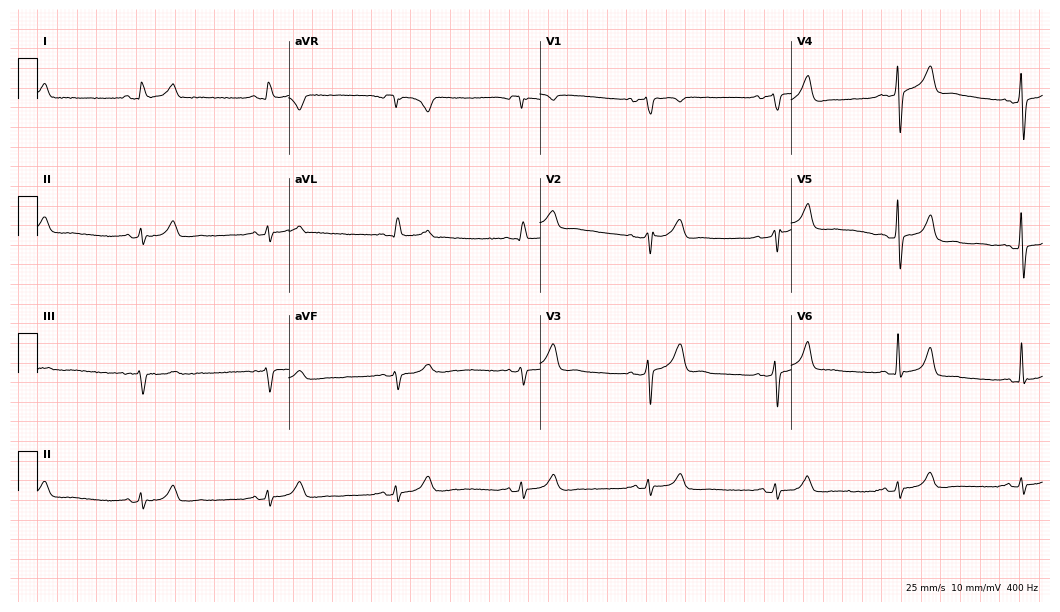
12-lead ECG from a 61-year-old man (10.2-second recording at 400 Hz). Shows sinus bradycardia (a sinus rate of 50 beats per minute or less).